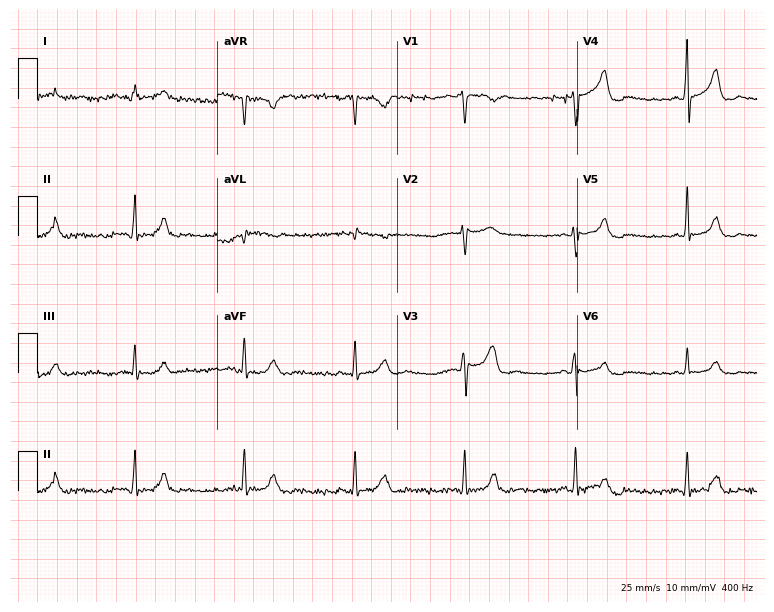
12-lead ECG from a male, 45 years old. No first-degree AV block, right bundle branch block, left bundle branch block, sinus bradycardia, atrial fibrillation or sinus tachycardia recorded for this tracing.